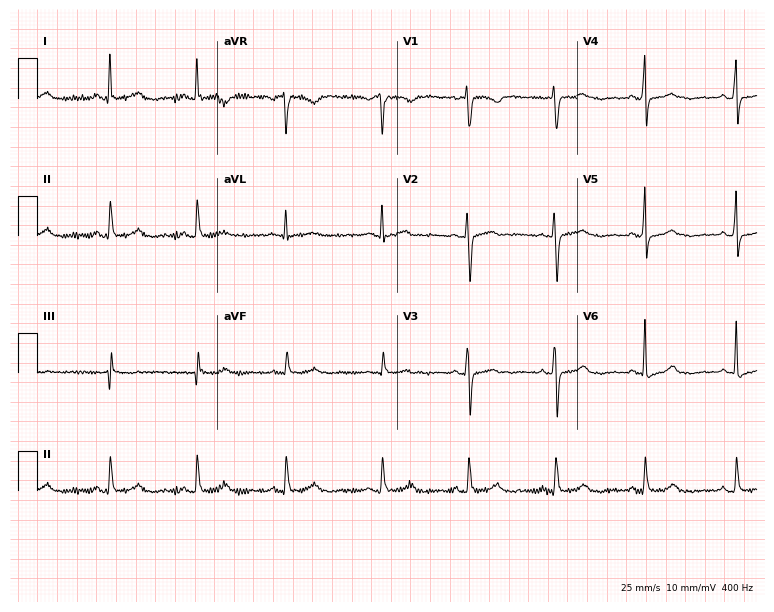
ECG (7.3-second recording at 400 Hz) — a female, 32 years old. Labelled as a normal ECG.